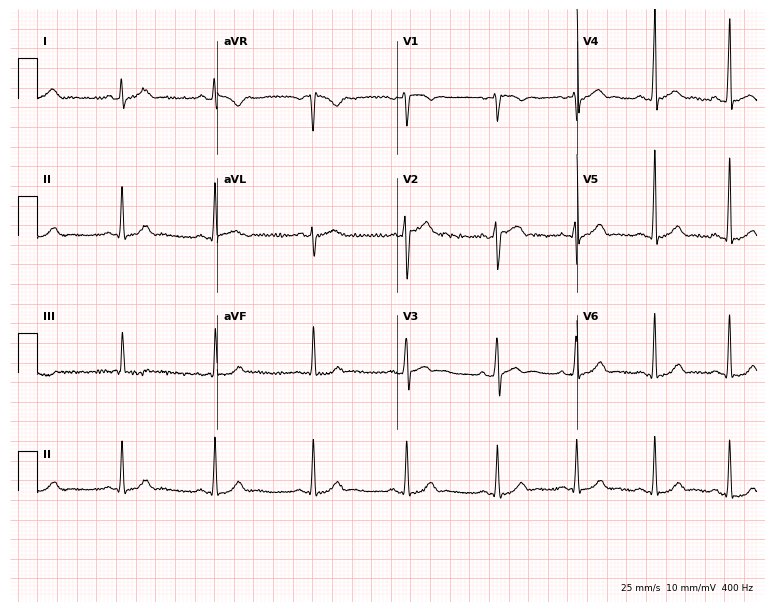
12-lead ECG from a male patient, 25 years old. No first-degree AV block, right bundle branch block, left bundle branch block, sinus bradycardia, atrial fibrillation or sinus tachycardia recorded for this tracing.